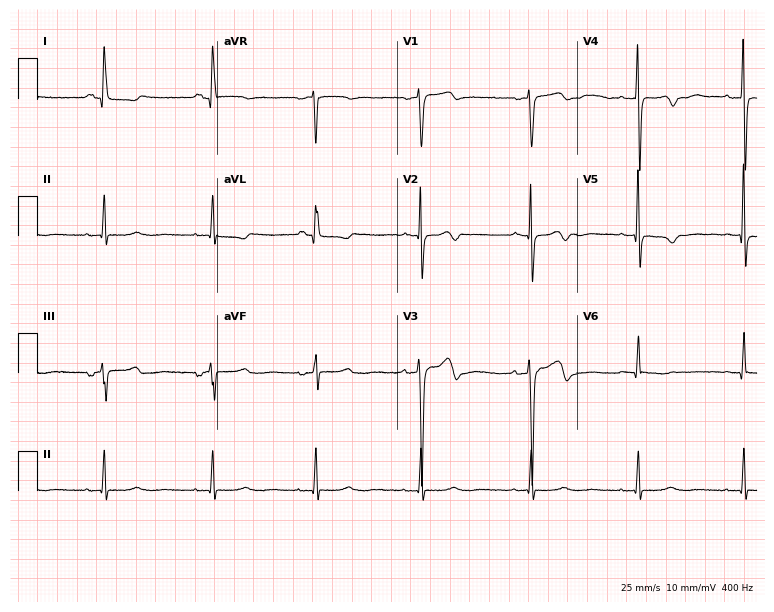
12-lead ECG from a 55-year-old female patient. No first-degree AV block, right bundle branch block, left bundle branch block, sinus bradycardia, atrial fibrillation or sinus tachycardia recorded for this tracing.